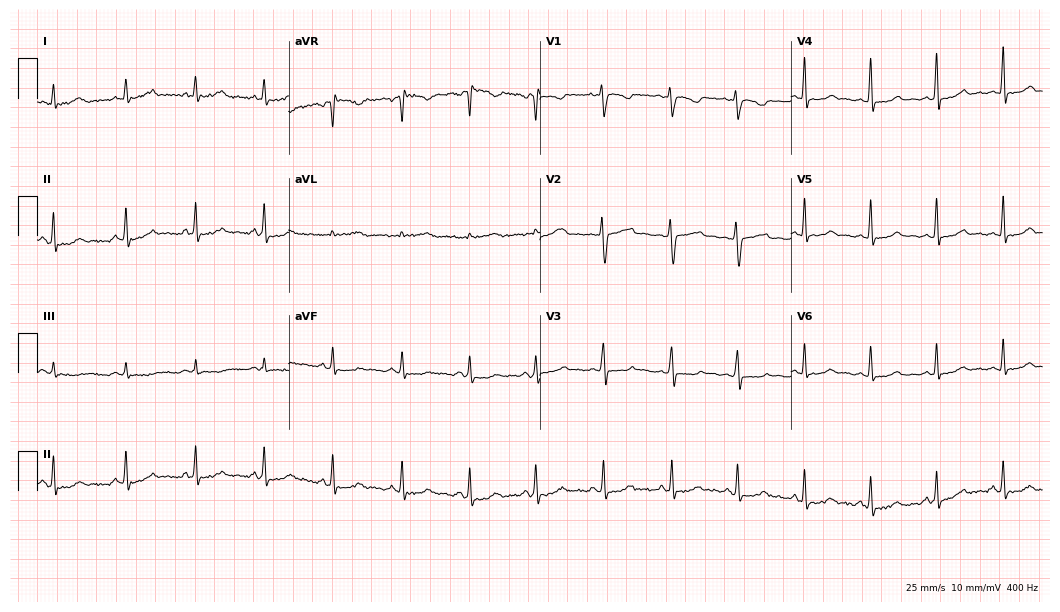
Electrocardiogram, a 34-year-old woman. Of the six screened findings (first-degree AV block, right bundle branch block (RBBB), left bundle branch block (LBBB), sinus bradycardia, atrial fibrillation (AF), sinus tachycardia), none is recorded.